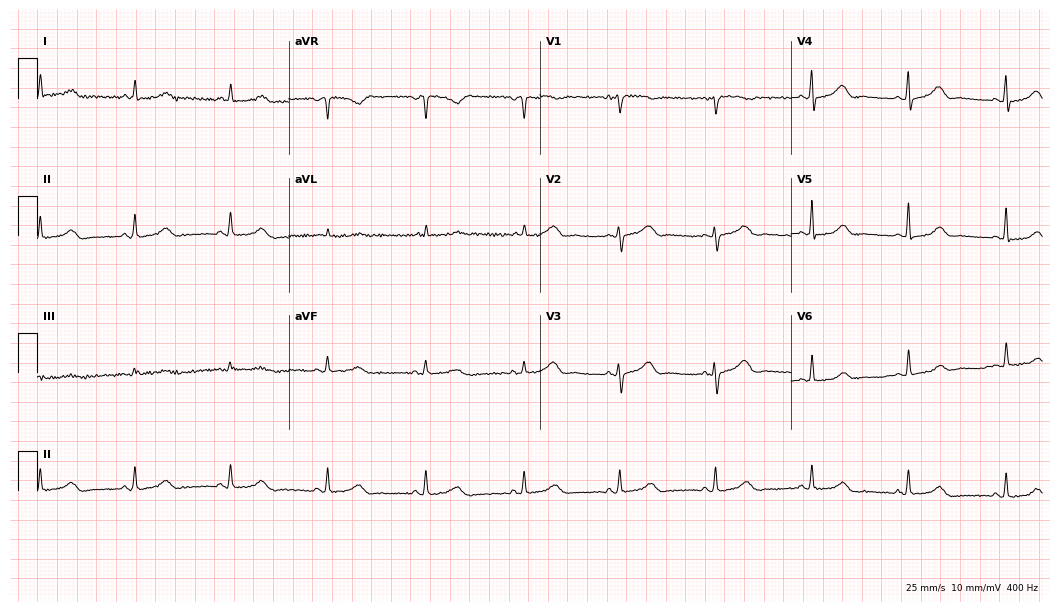
12-lead ECG (10.2-second recording at 400 Hz) from a 56-year-old female. Labelled as a normal ECG.